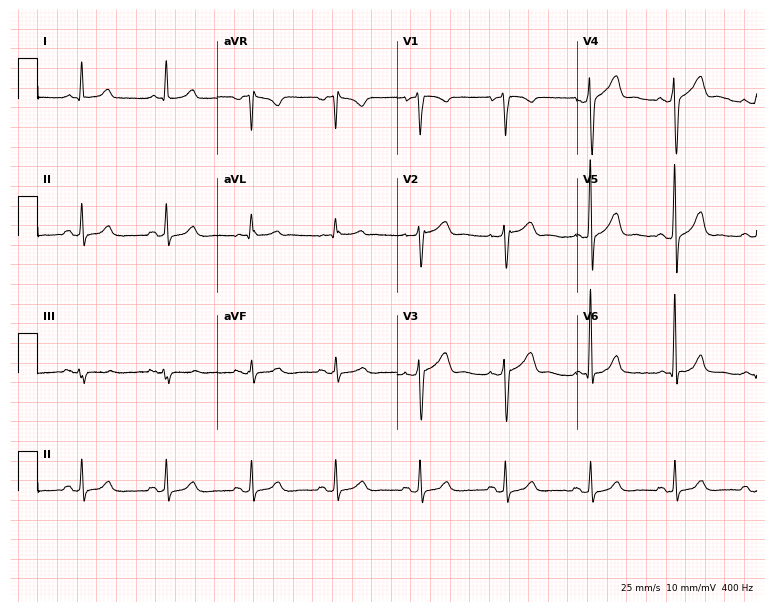
12-lead ECG from a 64-year-old male patient (7.3-second recording at 400 Hz). Recorded interpretation: within normal limits.